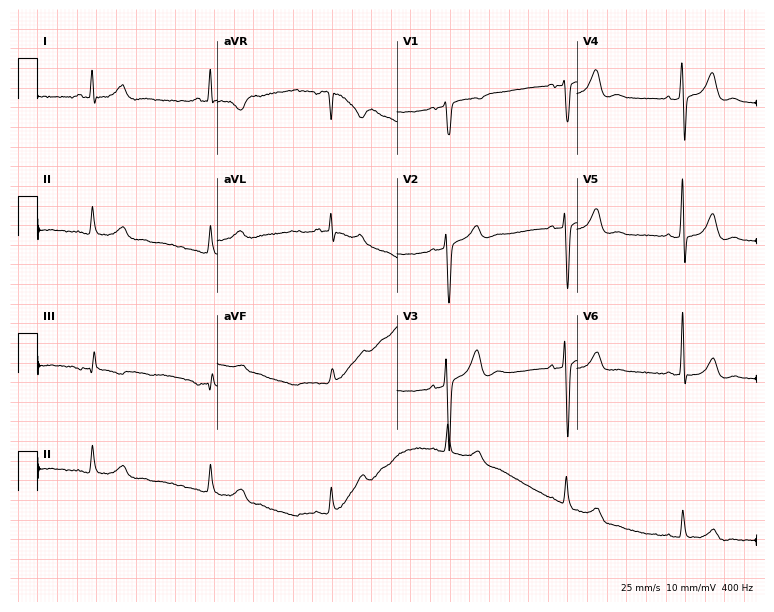
12-lead ECG from a male, 66 years old. Screened for six findings — first-degree AV block, right bundle branch block, left bundle branch block, sinus bradycardia, atrial fibrillation, sinus tachycardia — none is recorded. Other findings, if any, are not listed.